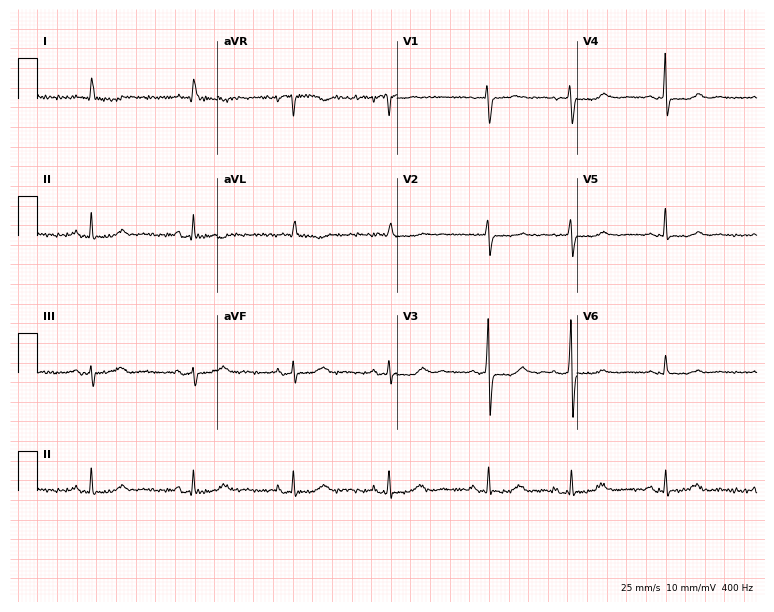
Electrocardiogram, a female, 83 years old. Of the six screened findings (first-degree AV block, right bundle branch block, left bundle branch block, sinus bradycardia, atrial fibrillation, sinus tachycardia), none is recorded.